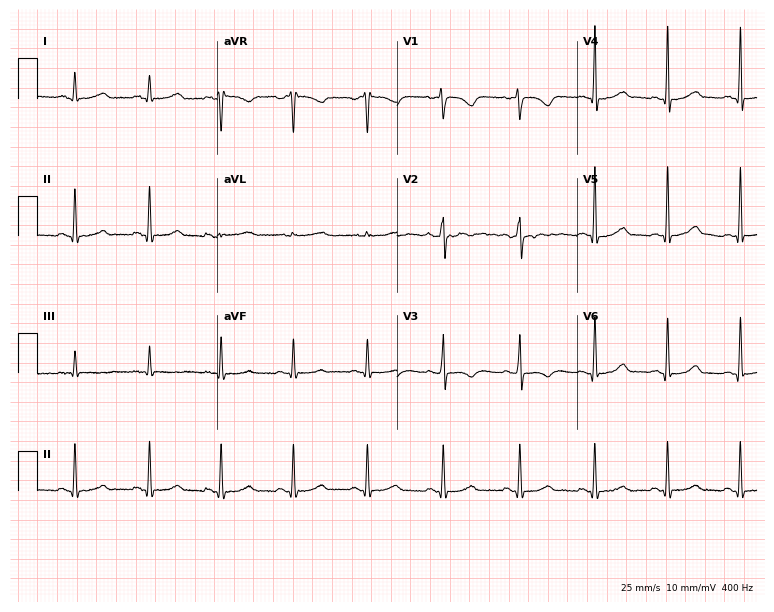
12-lead ECG from a female, 27 years old. Labelled as a normal ECG.